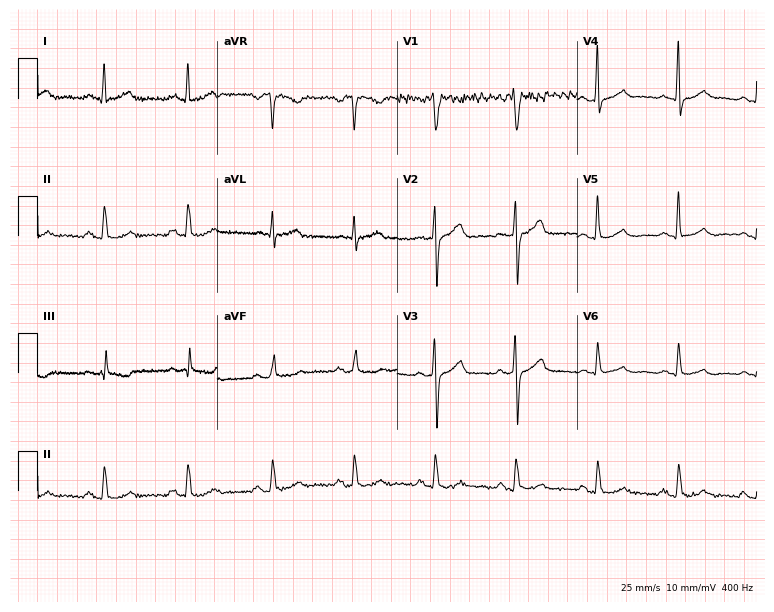
12-lead ECG from a 44-year-old male patient (7.3-second recording at 400 Hz). No first-degree AV block, right bundle branch block, left bundle branch block, sinus bradycardia, atrial fibrillation or sinus tachycardia recorded for this tracing. Only these six findings were labelled.